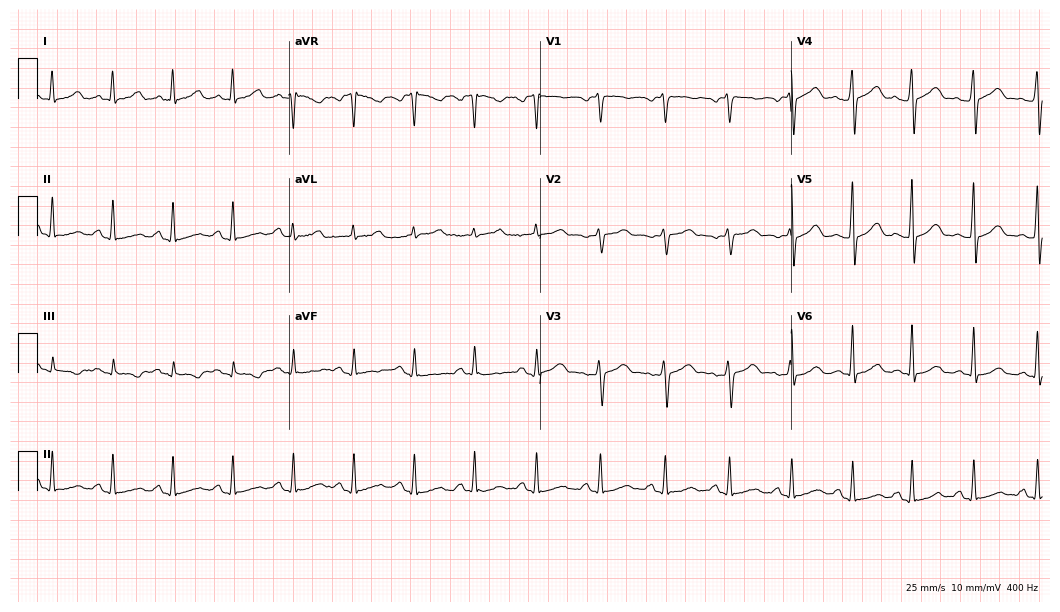
Electrocardiogram, a female patient, 36 years old. Of the six screened findings (first-degree AV block, right bundle branch block, left bundle branch block, sinus bradycardia, atrial fibrillation, sinus tachycardia), none is recorded. Only these six findings were labelled.